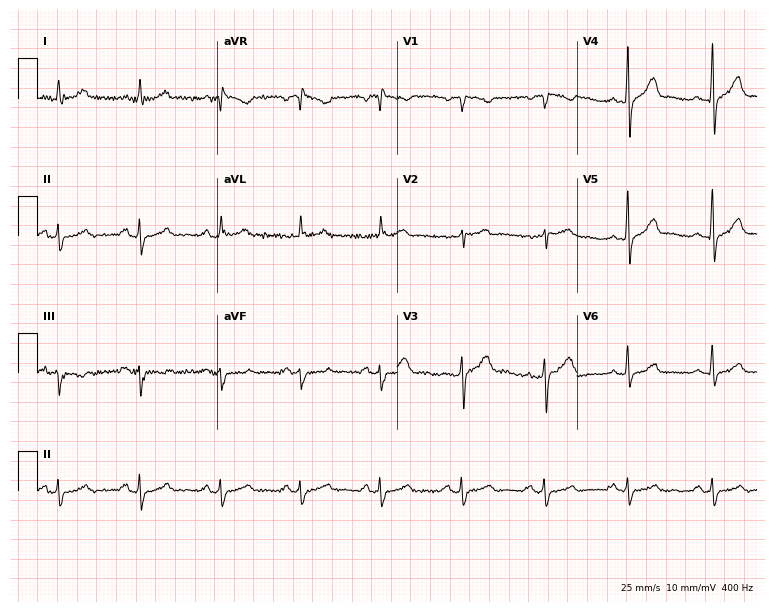
12-lead ECG from a 52-year-old male. Screened for six findings — first-degree AV block, right bundle branch block, left bundle branch block, sinus bradycardia, atrial fibrillation, sinus tachycardia — none is recorded. Findings outside these six are not listed.